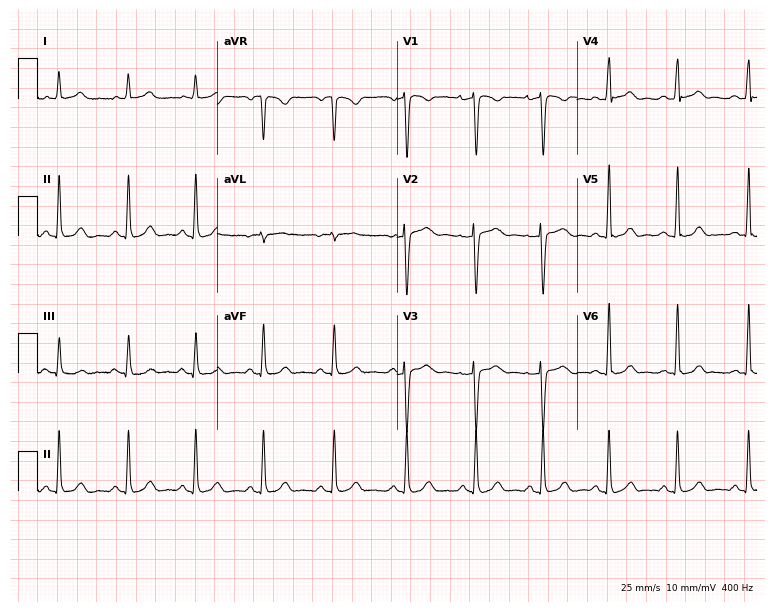
Resting 12-lead electrocardiogram (7.3-second recording at 400 Hz). Patient: a 31-year-old woman. Read as a normal ECG.